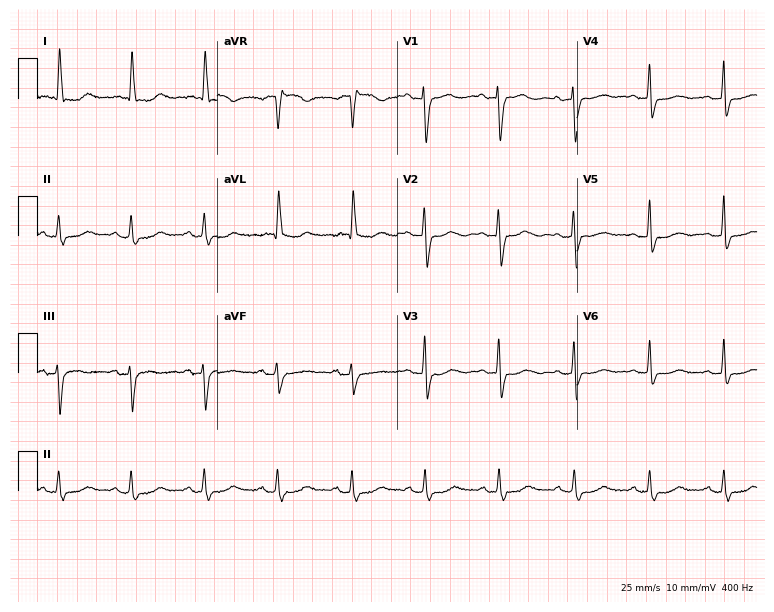
12-lead ECG from a female, 79 years old. No first-degree AV block, right bundle branch block, left bundle branch block, sinus bradycardia, atrial fibrillation or sinus tachycardia recorded for this tracing.